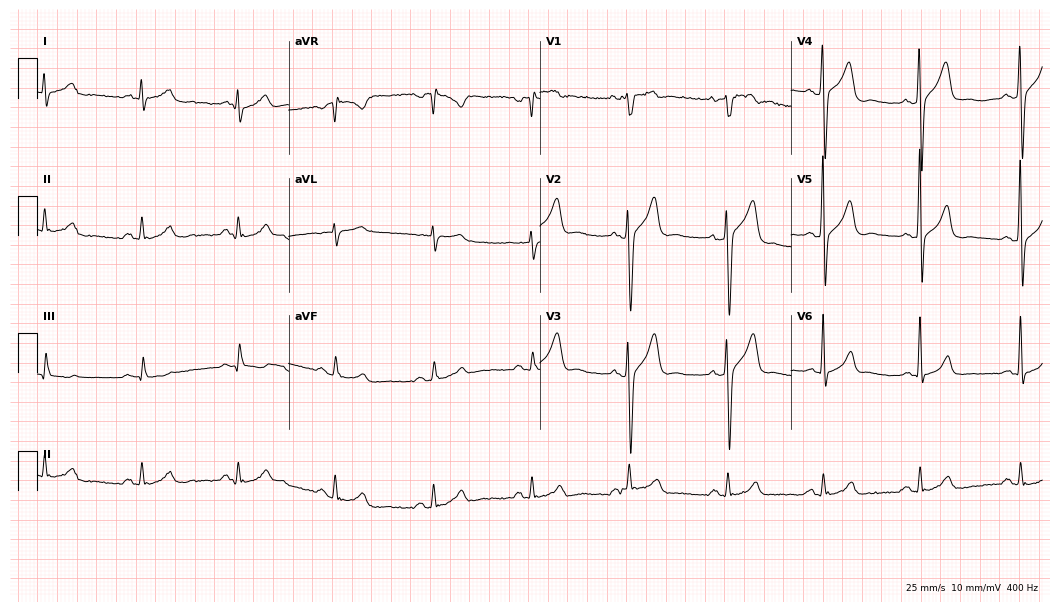
Electrocardiogram (10.2-second recording at 400 Hz), a 59-year-old male patient. Of the six screened findings (first-degree AV block, right bundle branch block (RBBB), left bundle branch block (LBBB), sinus bradycardia, atrial fibrillation (AF), sinus tachycardia), none is recorded. Findings outside these six are not listed.